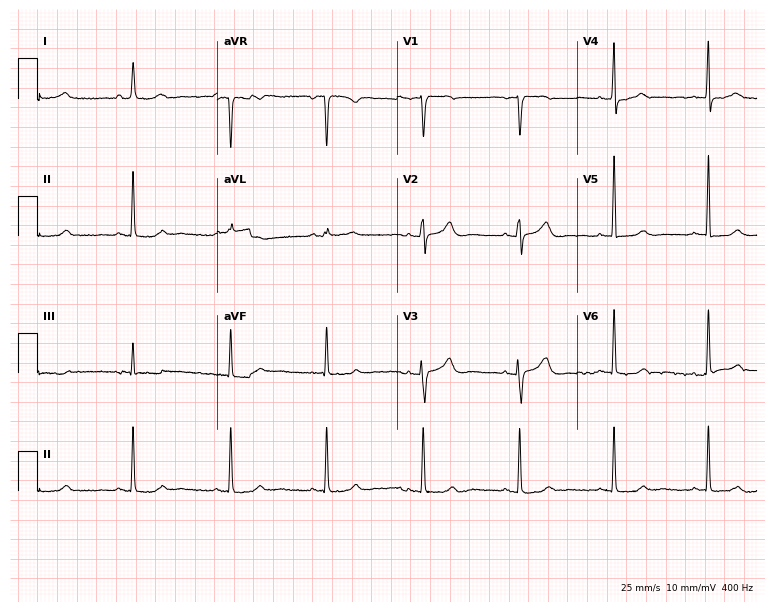
12-lead ECG from a woman, 56 years old. No first-degree AV block, right bundle branch block (RBBB), left bundle branch block (LBBB), sinus bradycardia, atrial fibrillation (AF) or sinus tachycardia recorded for this tracing.